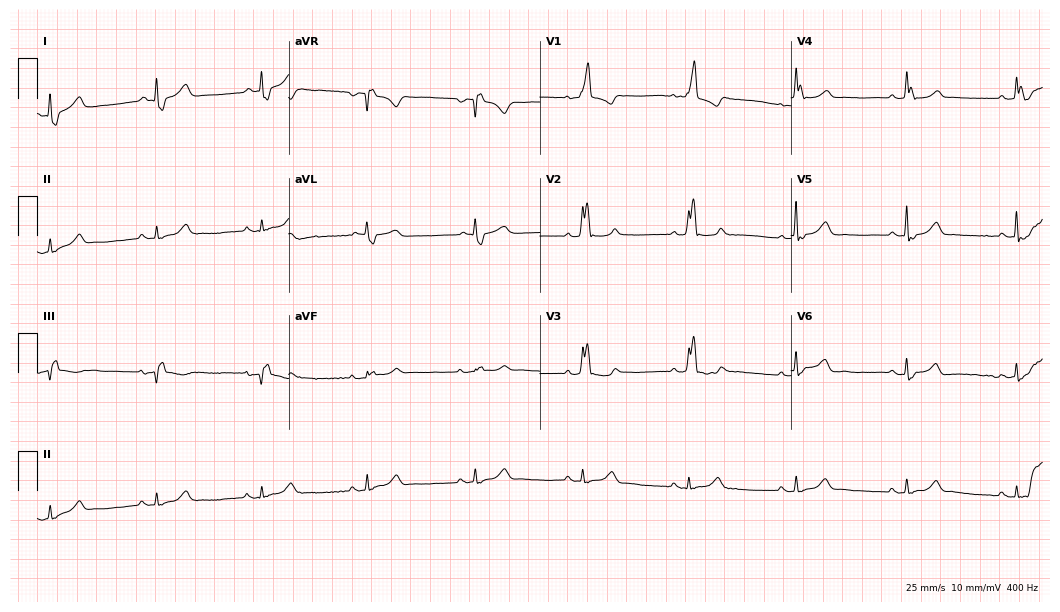
Standard 12-lead ECG recorded from a 73-year-old male patient (10.2-second recording at 400 Hz). The tracing shows right bundle branch block.